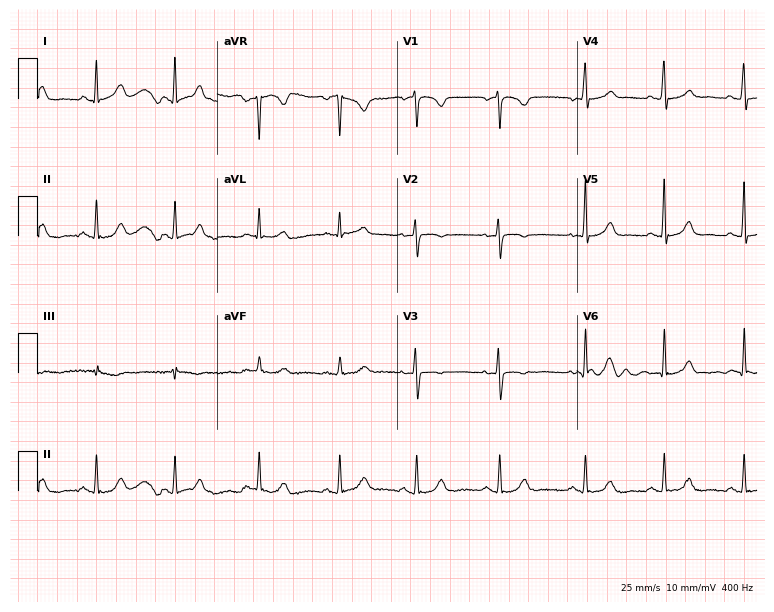
ECG — a female patient, 34 years old. Labelled as a normal ECG.